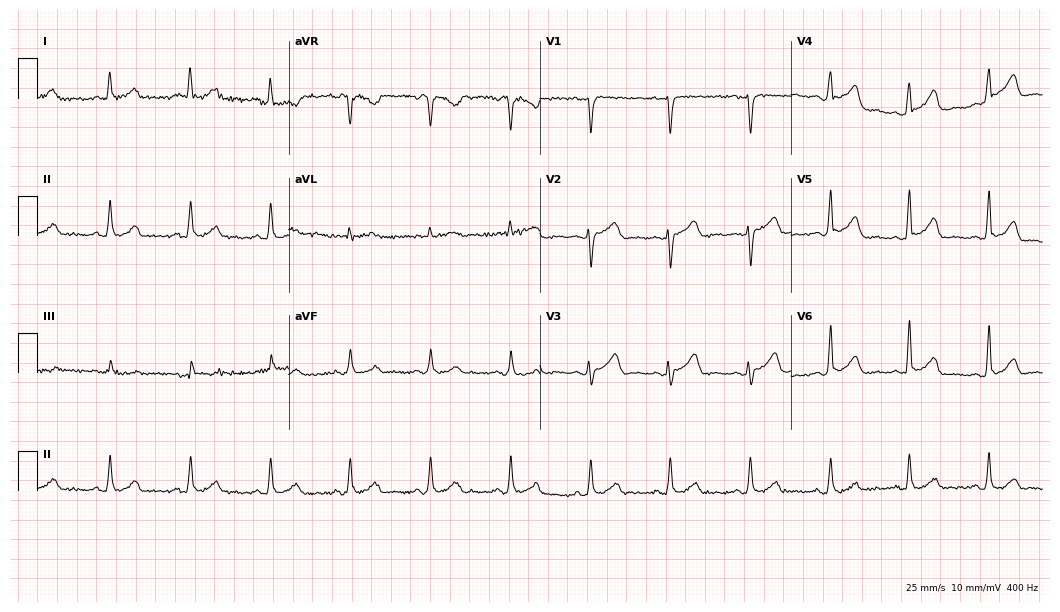
ECG — a female, 54 years old. Labelled as a normal ECG.